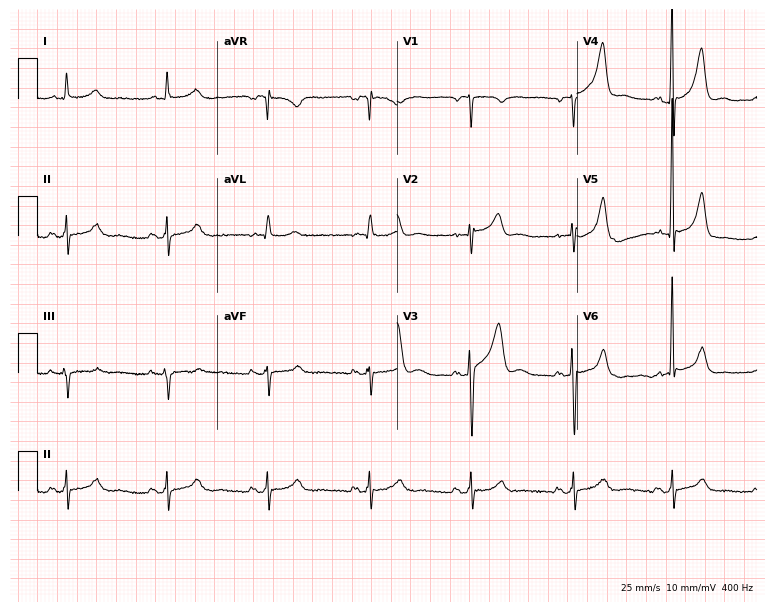
ECG (7.3-second recording at 400 Hz) — a 67-year-old male patient. Screened for six findings — first-degree AV block, right bundle branch block (RBBB), left bundle branch block (LBBB), sinus bradycardia, atrial fibrillation (AF), sinus tachycardia — none is recorded. Other findings, if any, are not listed.